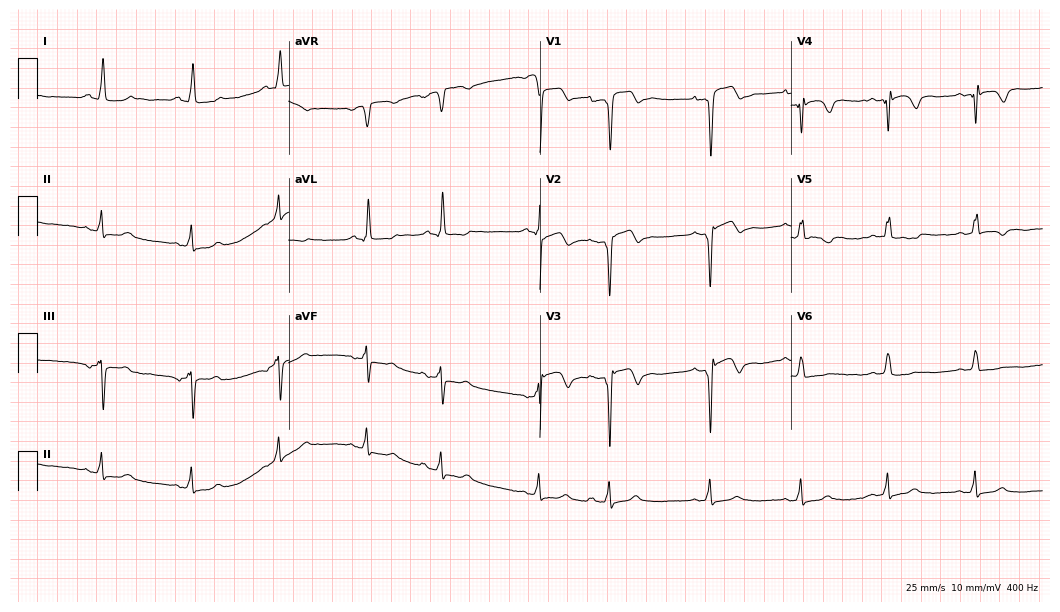
12-lead ECG from a 75-year-old male patient. Screened for six findings — first-degree AV block, right bundle branch block, left bundle branch block, sinus bradycardia, atrial fibrillation, sinus tachycardia — none is recorded. Findings outside these six are not listed.